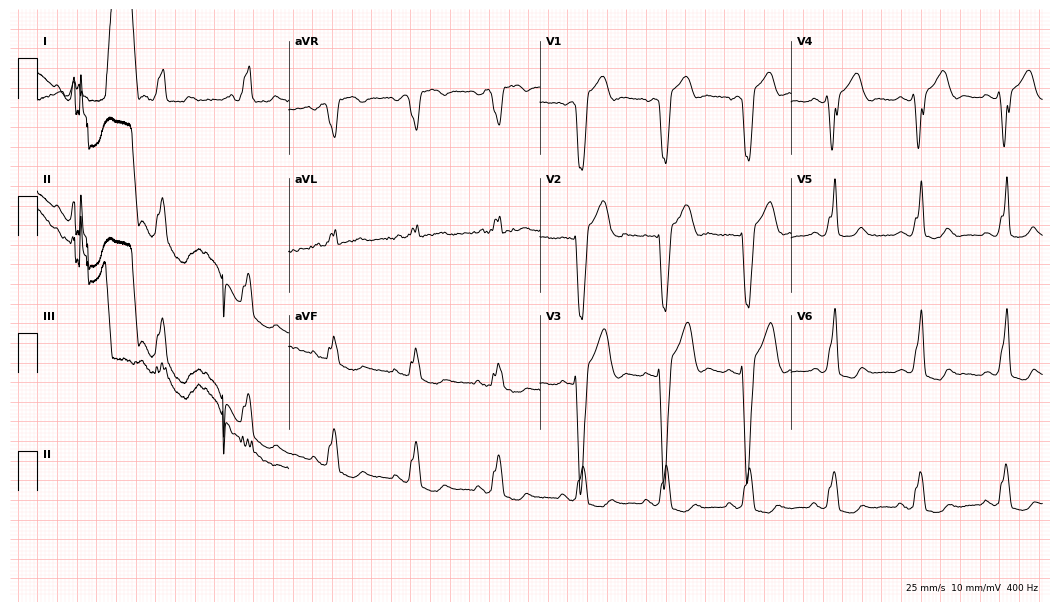
ECG (10.2-second recording at 400 Hz) — a 46-year-old male patient. Findings include left bundle branch block.